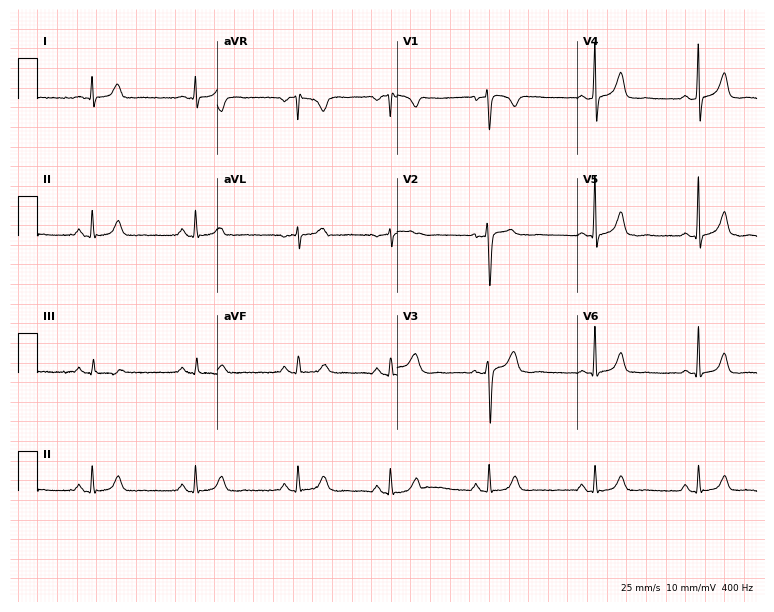
Standard 12-lead ECG recorded from a 39-year-old female. Read as a normal ECG.